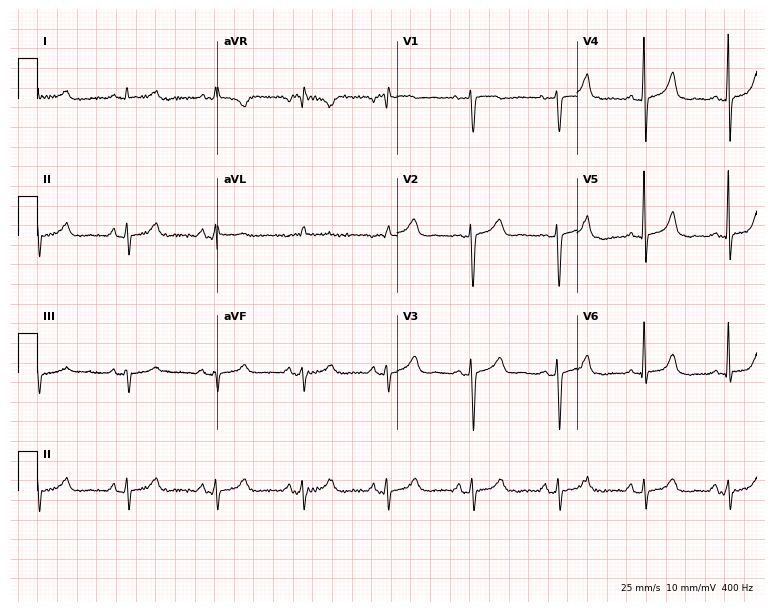
12-lead ECG from a 52-year-old female patient. No first-degree AV block, right bundle branch block, left bundle branch block, sinus bradycardia, atrial fibrillation or sinus tachycardia recorded for this tracing. Findings outside these six are not listed.